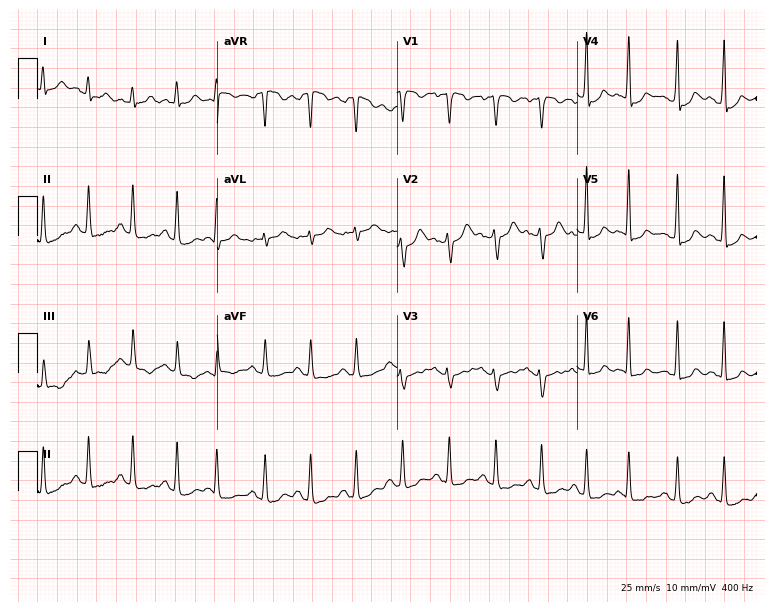
12-lead ECG from a 33-year-old female patient. Findings include sinus tachycardia (a sinus rate of 100 beats per minute or more).